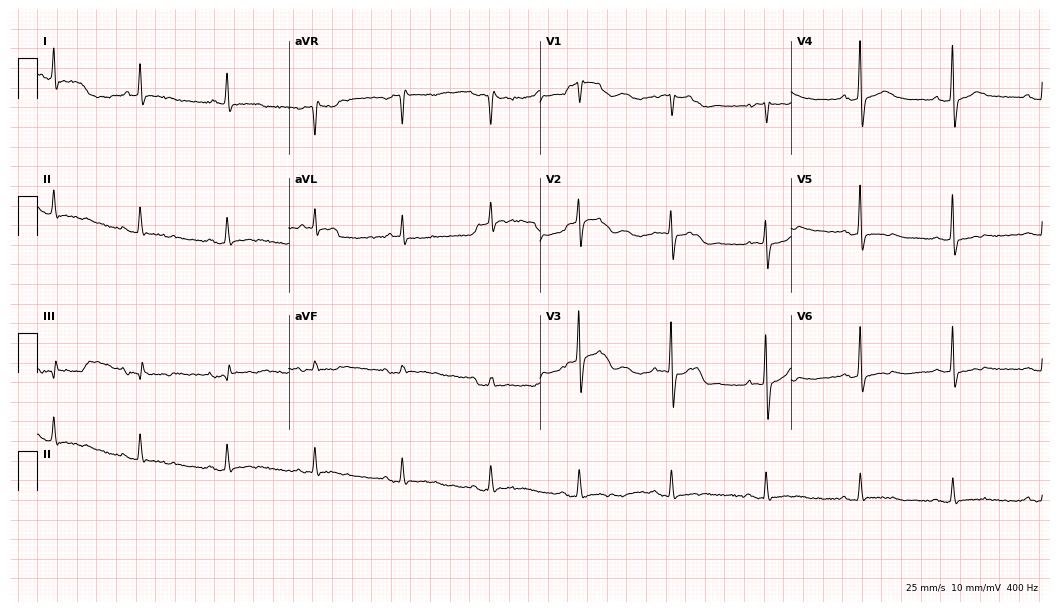
Electrocardiogram (10.2-second recording at 400 Hz), an 87-year-old man. Of the six screened findings (first-degree AV block, right bundle branch block, left bundle branch block, sinus bradycardia, atrial fibrillation, sinus tachycardia), none is recorded.